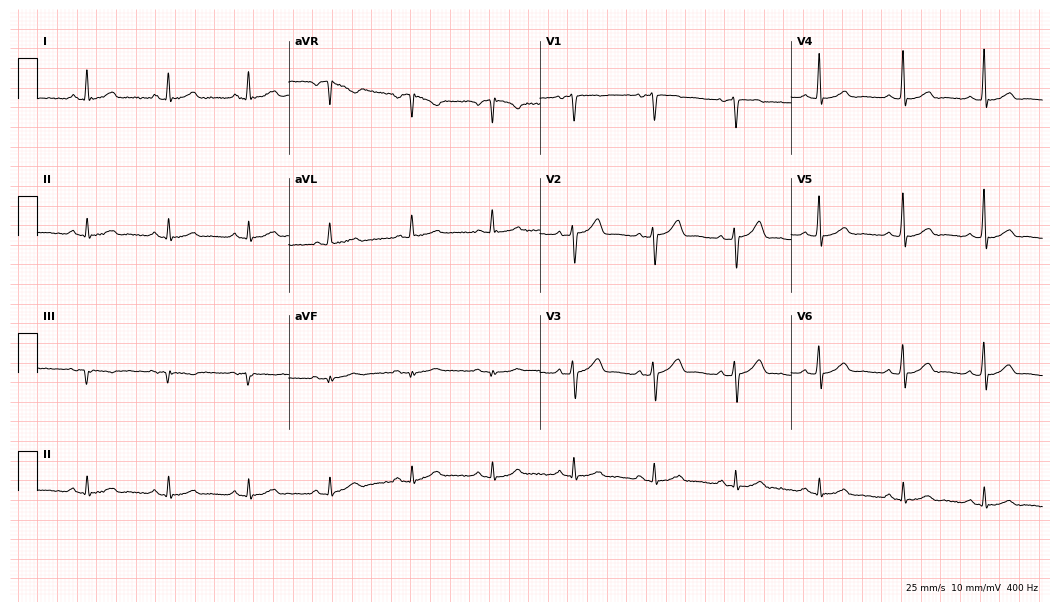
12-lead ECG from a male, 44 years old (10.2-second recording at 400 Hz). Recorded interpretation: within normal limits.